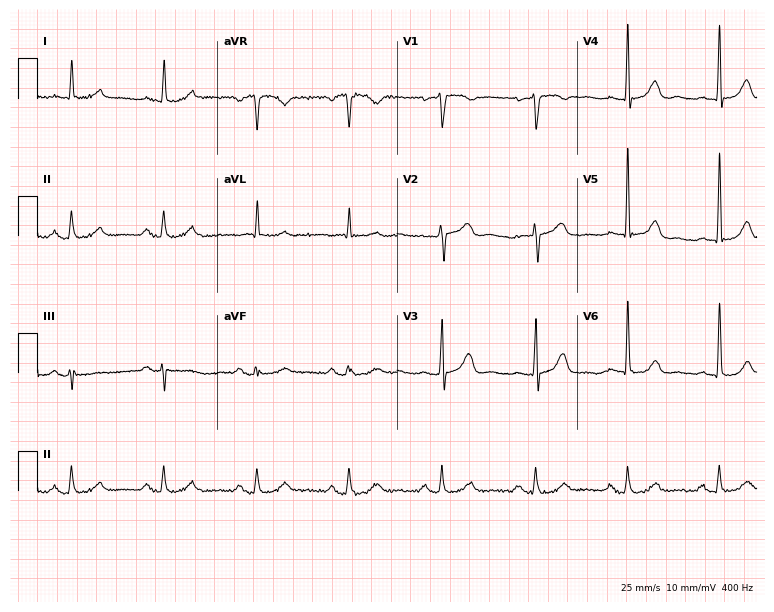
Standard 12-lead ECG recorded from a female patient, 66 years old (7.3-second recording at 400 Hz). None of these six findings is recorded: first-degree AV block, right bundle branch block (RBBB), left bundle branch block (LBBB), sinus bradycardia, atrial fibrillation (AF), sinus tachycardia.